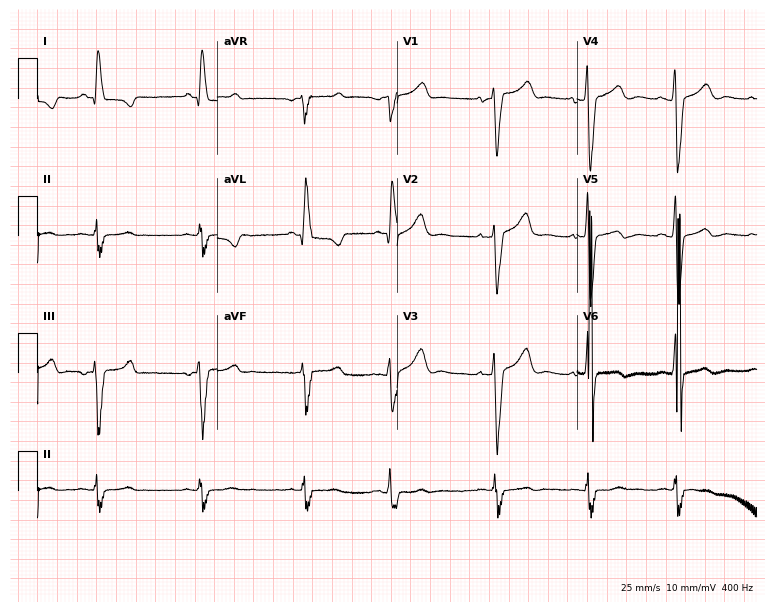
Electrocardiogram, a woman, 82 years old. Of the six screened findings (first-degree AV block, right bundle branch block, left bundle branch block, sinus bradycardia, atrial fibrillation, sinus tachycardia), none is recorded. Other findings, if any, are not listed.